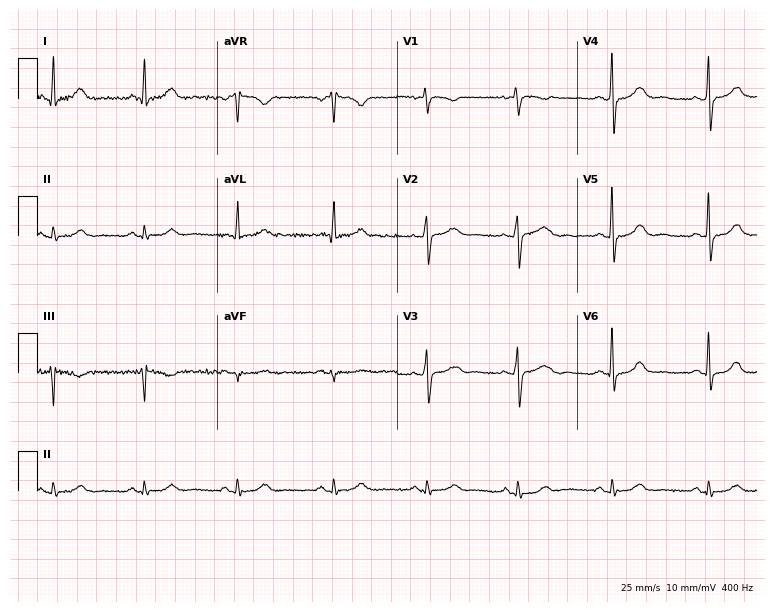
ECG — a 59-year-old woman. Screened for six findings — first-degree AV block, right bundle branch block, left bundle branch block, sinus bradycardia, atrial fibrillation, sinus tachycardia — none is recorded. Only these six findings were labelled.